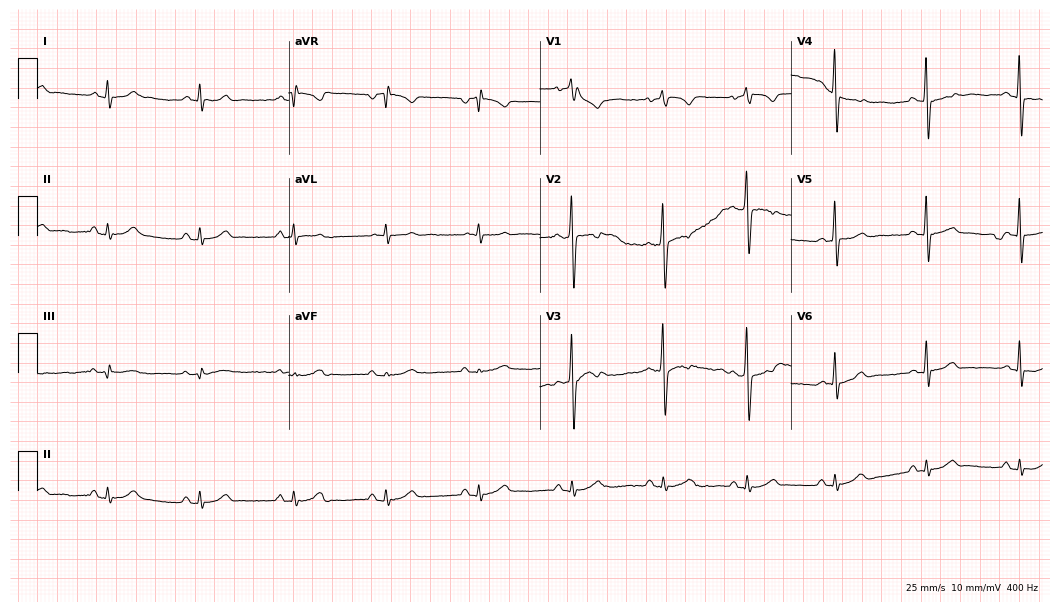
Standard 12-lead ECG recorded from a male patient, 67 years old. None of these six findings is recorded: first-degree AV block, right bundle branch block, left bundle branch block, sinus bradycardia, atrial fibrillation, sinus tachycardia. Findings outside these six are not listed.